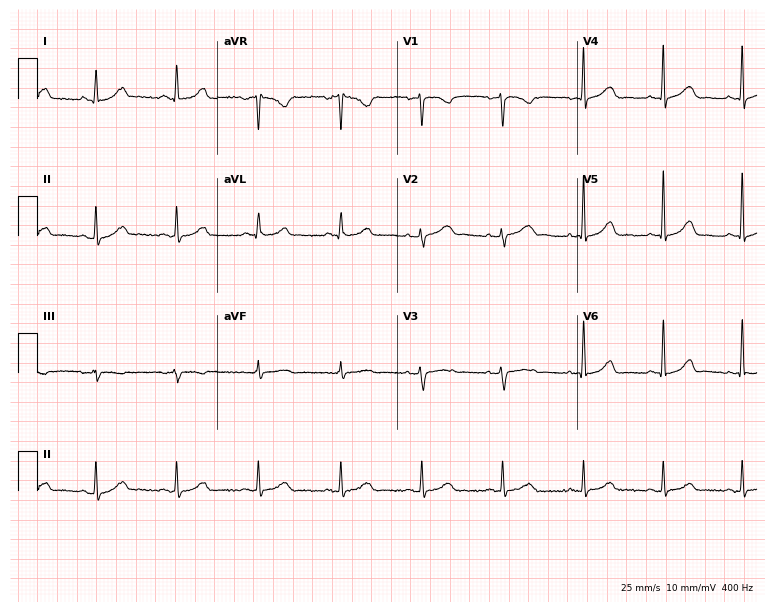
Electrocardiogram, a female, 61 years old. Overall reading on record: normal ECG.